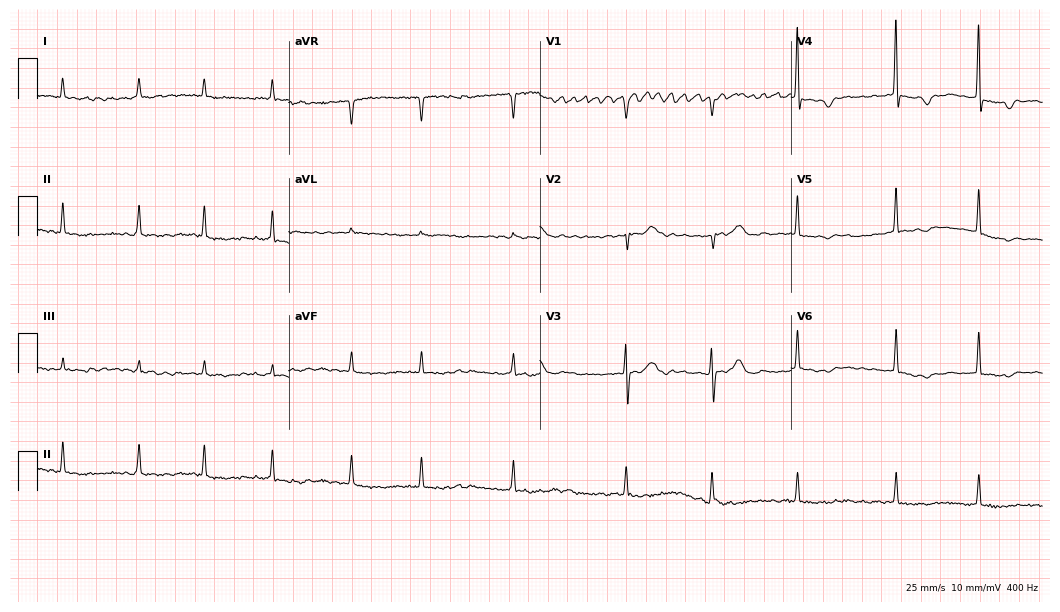
Resting 12-lead electrocardiogram (10.2-second recording at 400 Hz). Patient: an 85-year-old female. None of these six findings is recorded: first-degree AV block, right bundle branch block, left bundle branch block, sinus bradycardia, atrial fibrillation, sinus tachycardia. Only these six findings were labelled.